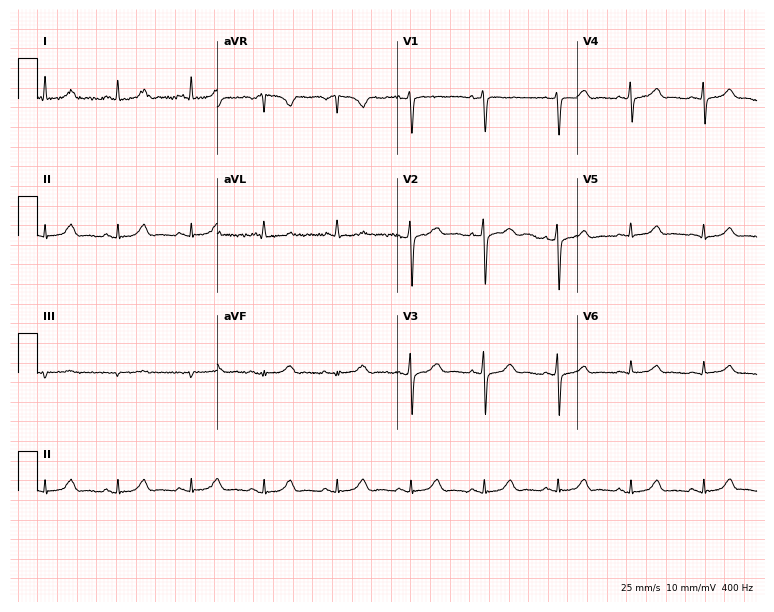
ECG (7.3-second recording at 400 Hz) — a 61-year-old female. Labelled as a normal ECG.